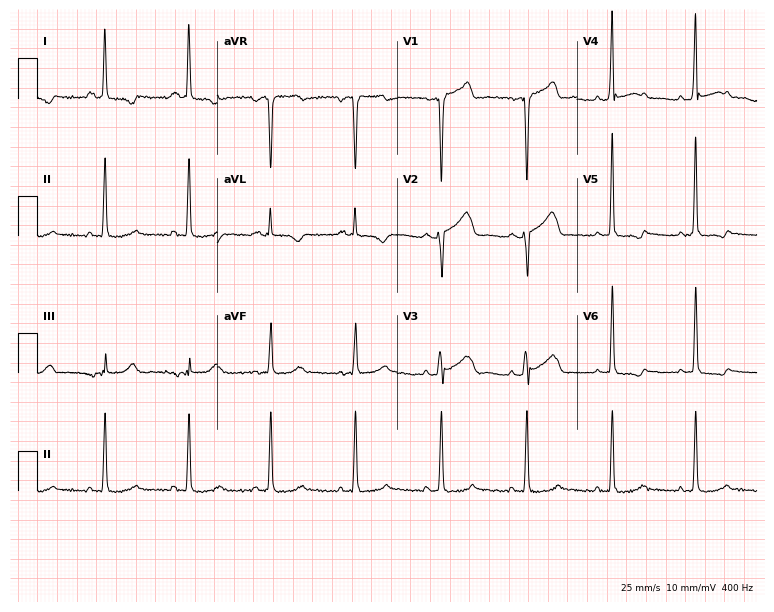
Standard 12-lead ECG recorded from a female patient, 43 years old (7.3-second recording at 400 Hz). None of these six findings is recorded: first-degree AV block, right bundle branch block, left bundle branch block, sinus bradycardia, atrial fibrillation, sinus tachycardia.